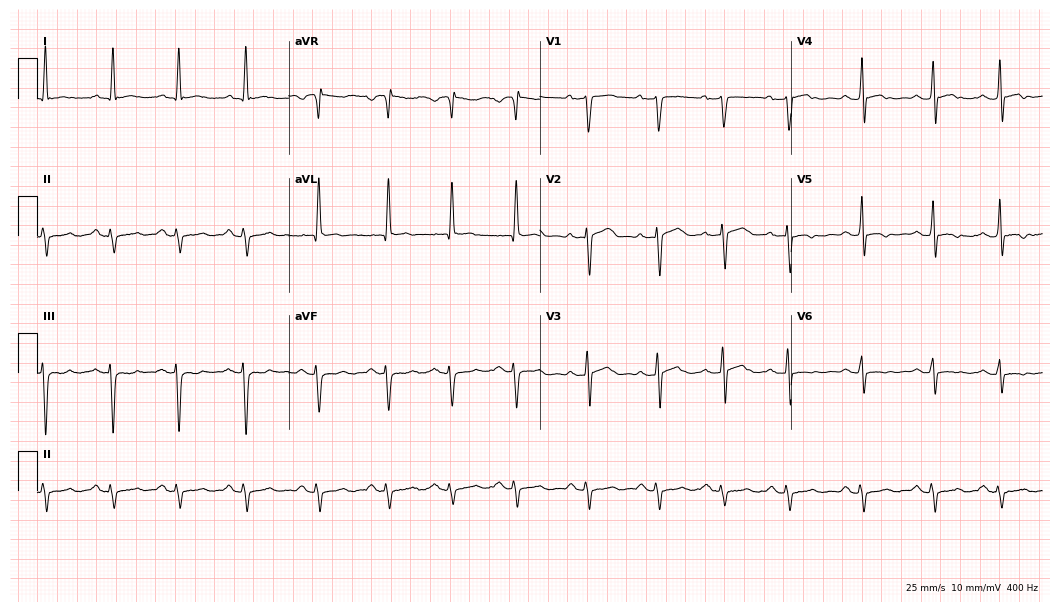
12-lead ECG from a 65-year-old male patient (10.2-second recording at 400 Hz). No first-degree AV block, right bundle branch block (RBBB), left bundle branch block (LBBB), sinus bradycardia, atrial fibrillation (AF) or sinus tachycardia recorded for this tracing. Findings outside these six are not listed.